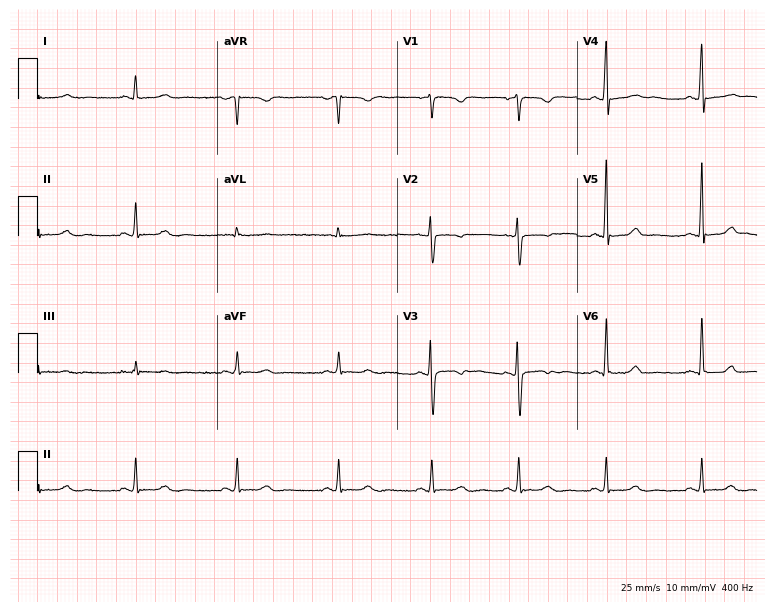
Standard 12-lead ECG recorded from a female patient, 27 years old. Read as a normal ECG.